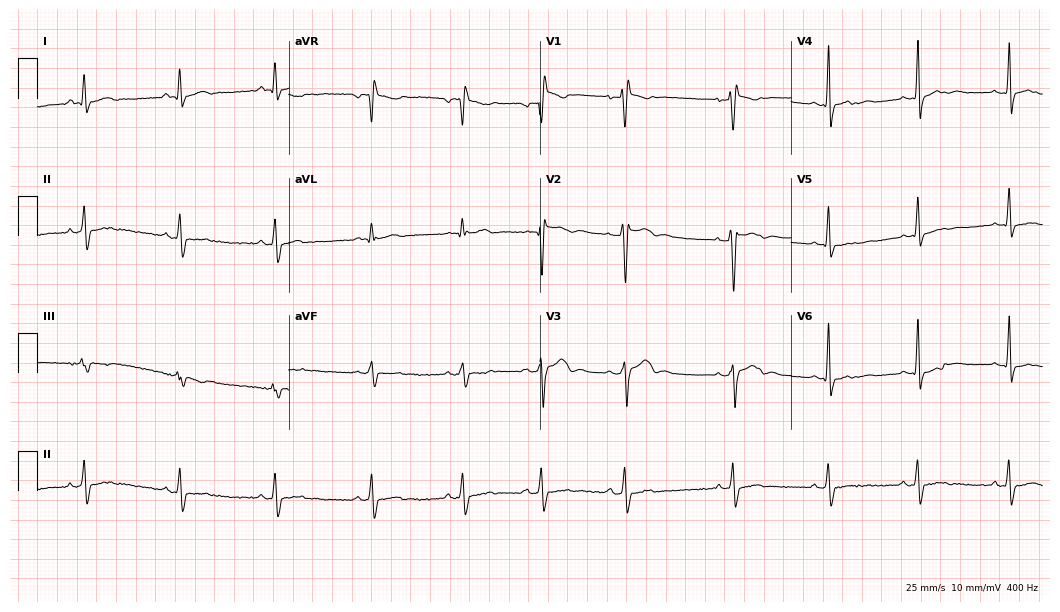
ECG — a man, 23 years old. Screened for six findings — first-degree AV block, right bundle branch block (RBBB), left bundle branch block (LBBB), sinus bradycardia, atrial fibrillation (AF), sinus tachycardia — none is recorded. Only these six findings were labelled.